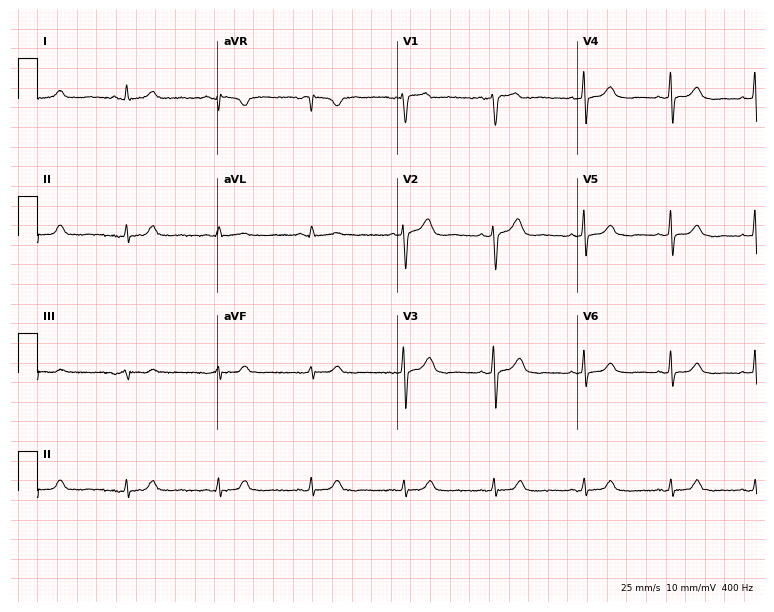
Standard 12-lead ECG recorded from a female patient, 46 years old (7.3-second recording at 400 Hz). None of these six findings is recorded: first-degree AV block, right bundle branch block, left bundle branch block, sinus bradycardia, atrial fibrillation, sinus tachycardia.